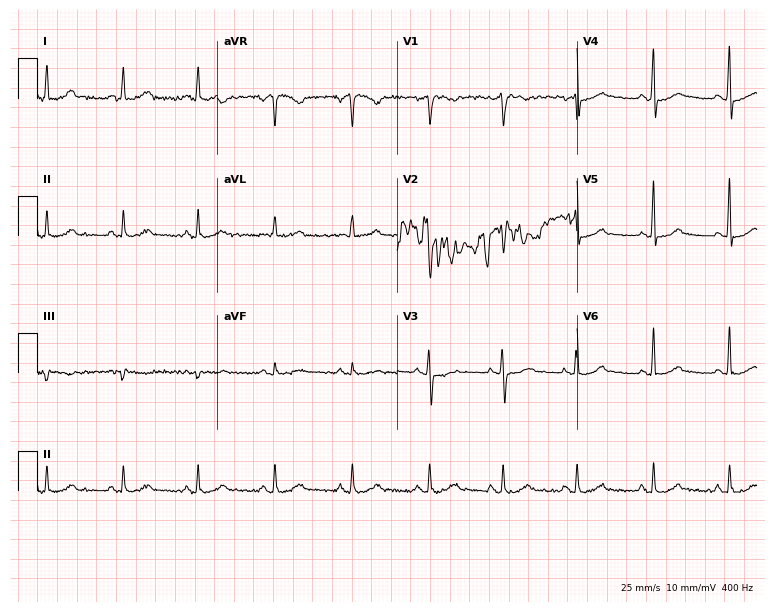
Standard 12-lead ECG recorded from a 42-year-old female patient. Read as a normal ECG.